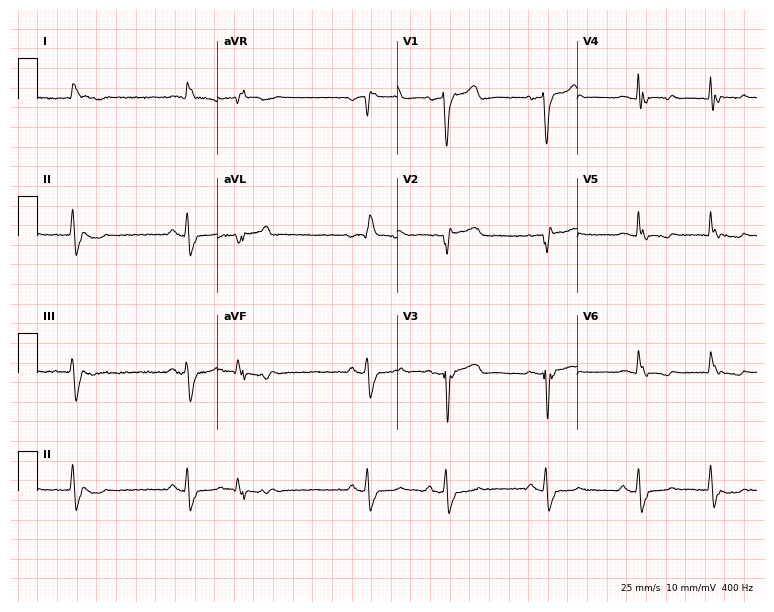
Standard 12-lead ECG recorded from a male patient, 84 years old. None of these six findings is recorded: first-degree AV block, right bundle branch block (RBBB), left bundle branch block (LBBB), sinus bradycardia, atrial fibrillation (AF), sinus tachycardia.